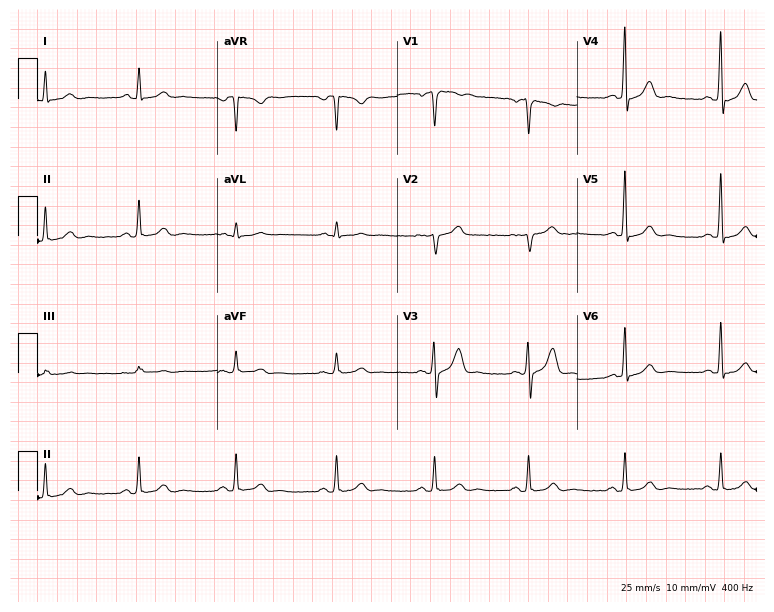
ECG (7.3-second recording at 400 Hz) — a 41-year-old man. Screened for six findings — first-degree AV block, right bundle branch block (RBBB), left bundle branch block (LBBB), sinus bradycardia, atrial fibrillation (AF), sinus tachycardia — none is recorded. Findings outside these six are not listed.